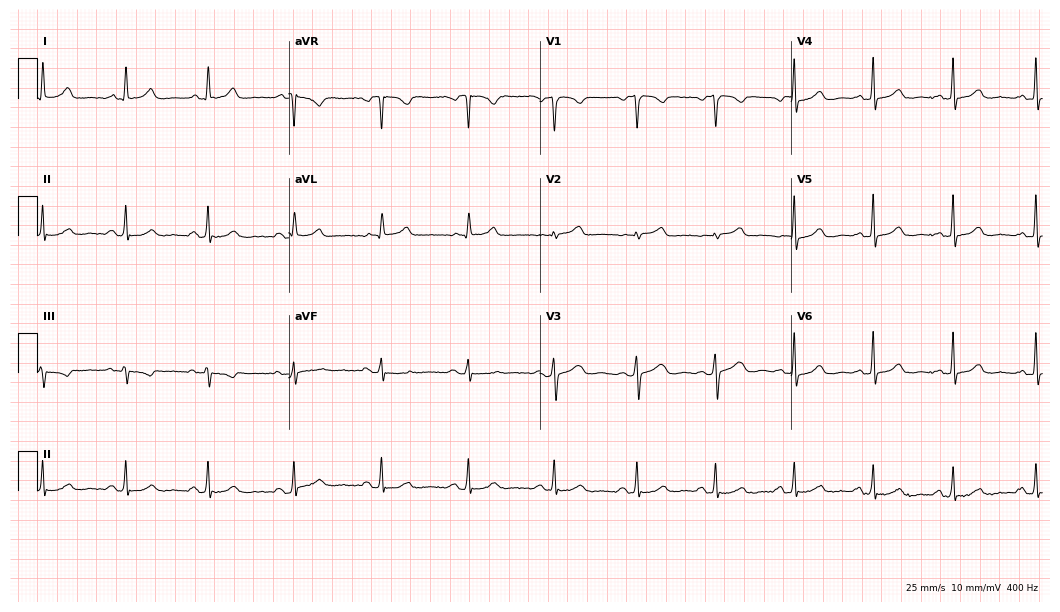
12-lead ECG (10.2-second recording at 400 Hz) from a 44-year-old woman. Labelled as a normal ECG.